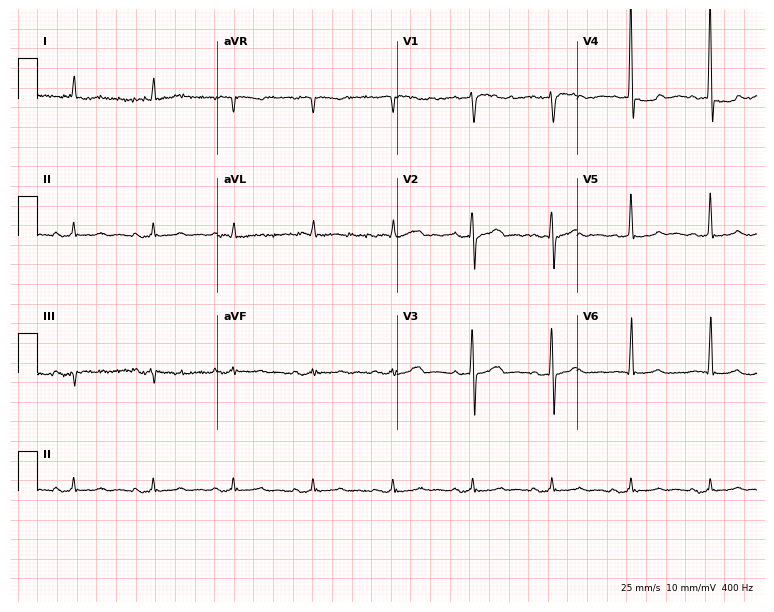
ECG — a male patient, 83 years old. Screened for six findings — first-degree AV block, right bundle branch block, left bundle branch block, sinus bradycardia, atrial fibrillation, sinus tachycardia — none is recorded.